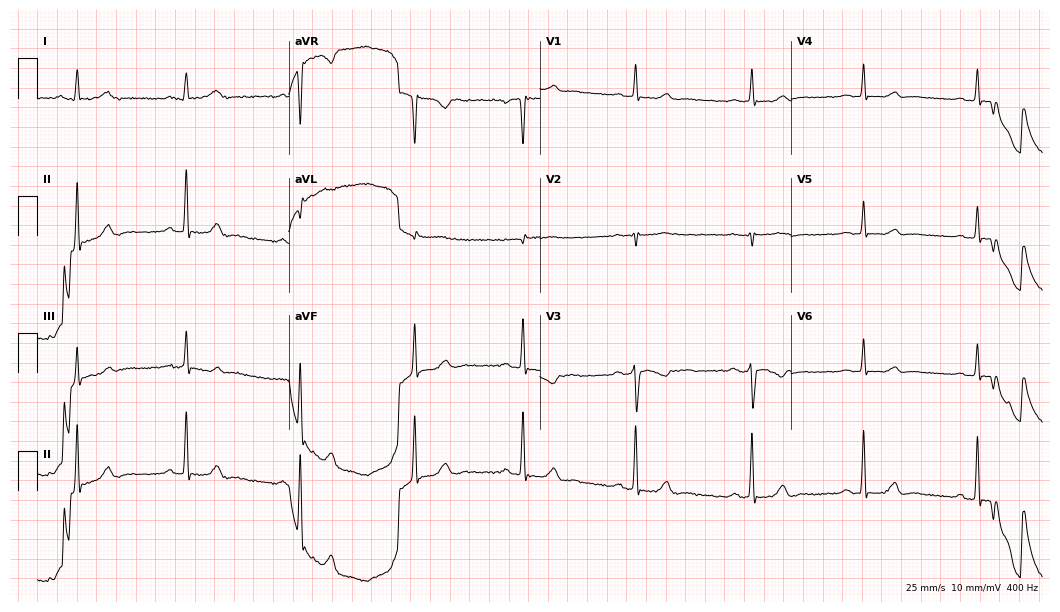
12-lead ECG (10.2-second recording at 400 Hz) from a 34-year-old female patient. Labelled as a normal ECG.